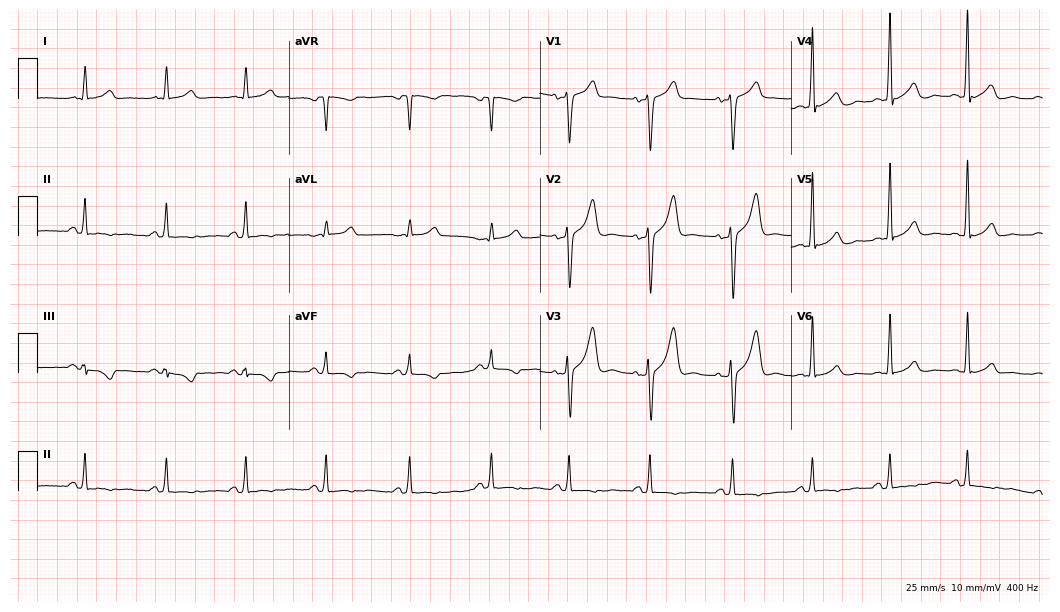
Standard 12-lead ECG recorded from a male patient, 48 years old. None of these six findings is recorded: first-degree AV block, right bundle branch block (RBBB), left bundle branch block (LBBB), sinus bradycardia, atrial fibrillation (AF), sinus tachycardia.